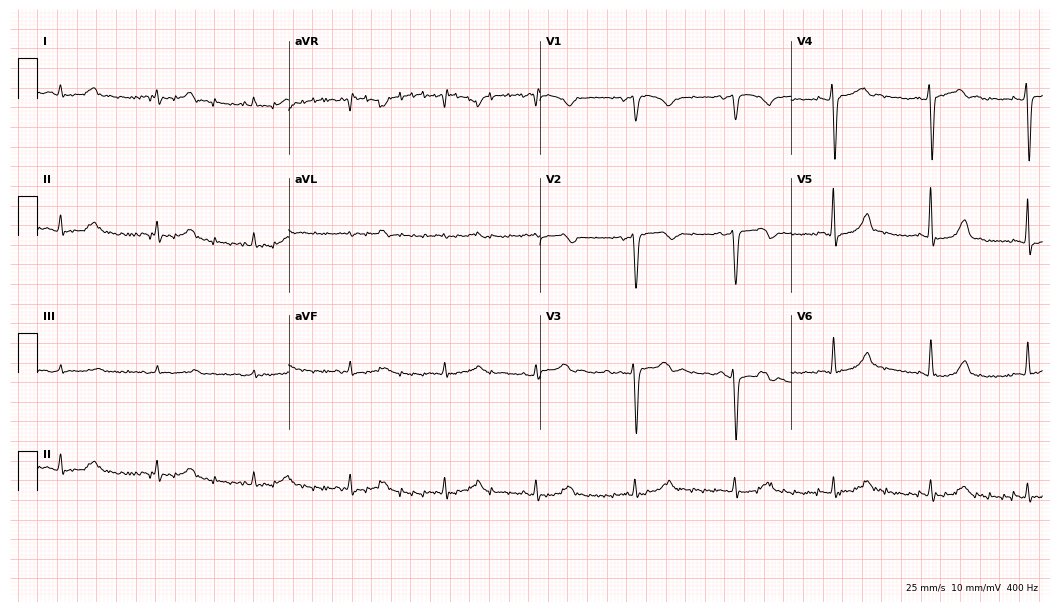
Electrocardiogram (10.2-second recording at 400 Hz), a 32-year-old male. Of the six screened findings (first-degree AV block, right bundle branch block, left bundle branch block, sinus bradycardia, atrial fibrillation, sinus tachycardia), none is recorded.